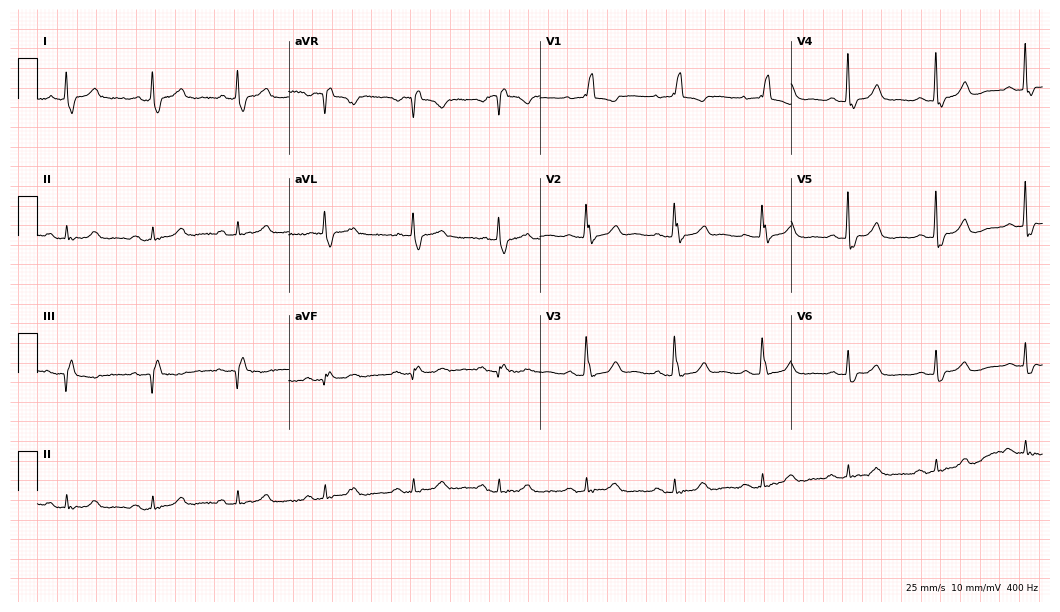
ECG (10.2-second recording at 400 Hz) — a female patient, 73 years old. Findings include right bundle branch block.